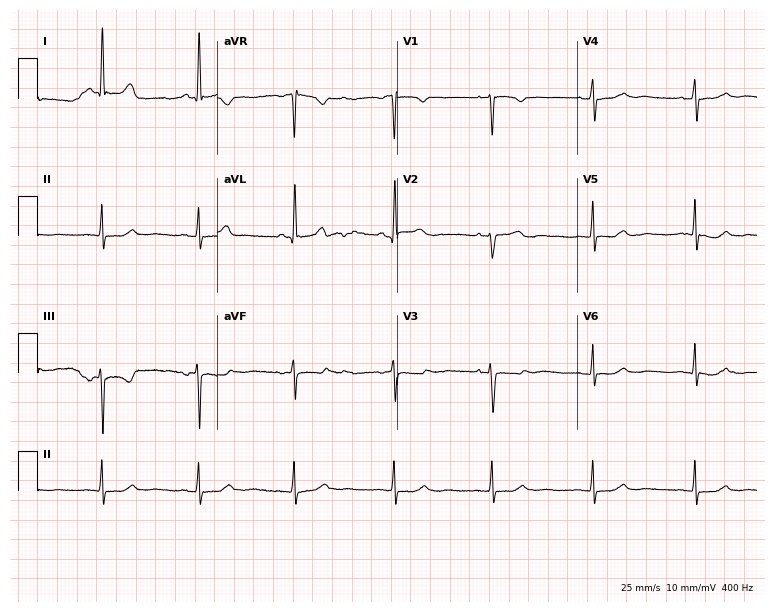
Electrocardiogram, a woman, 72 years old. Overall reading on record: normal ECG.